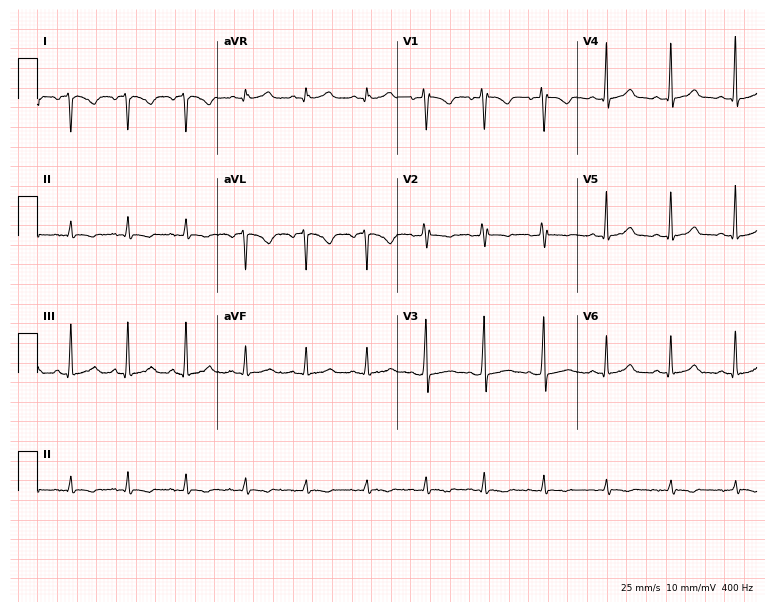
Resting 12-lead electrocardiogram (7.3-second recording at 400 Hz). Patient: a female, 22 years old. None of these six findings is recorded: first-degree AV block, right bundle branch block (RBBB), left bundle branch block (LBBB), sinus bradycardia, atrial fibrillation (AF), sinus tachycardia.